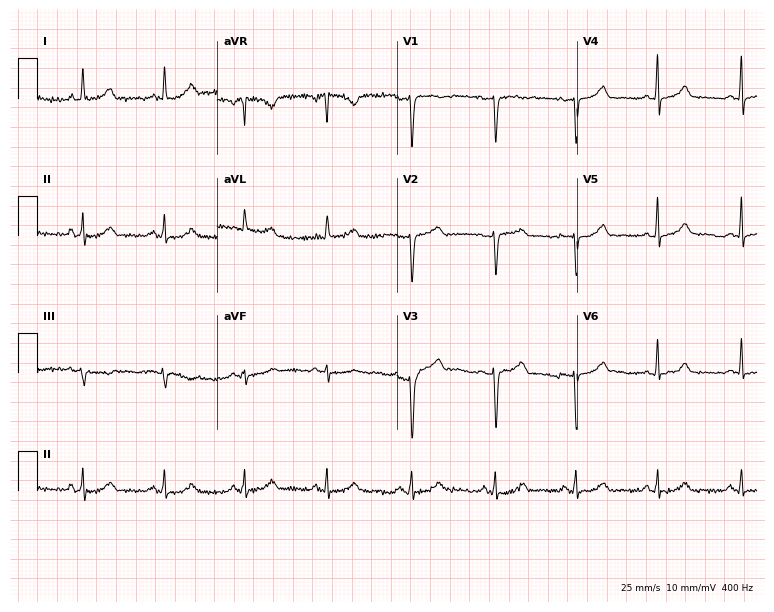
12-lead ECG from a female patient, 42 years old. No first-degree AV block, right bundle branch block, left bundle branch block, sinus bradycardia, atrial fibrillation or sinus tachycardia recorded for this tracing.